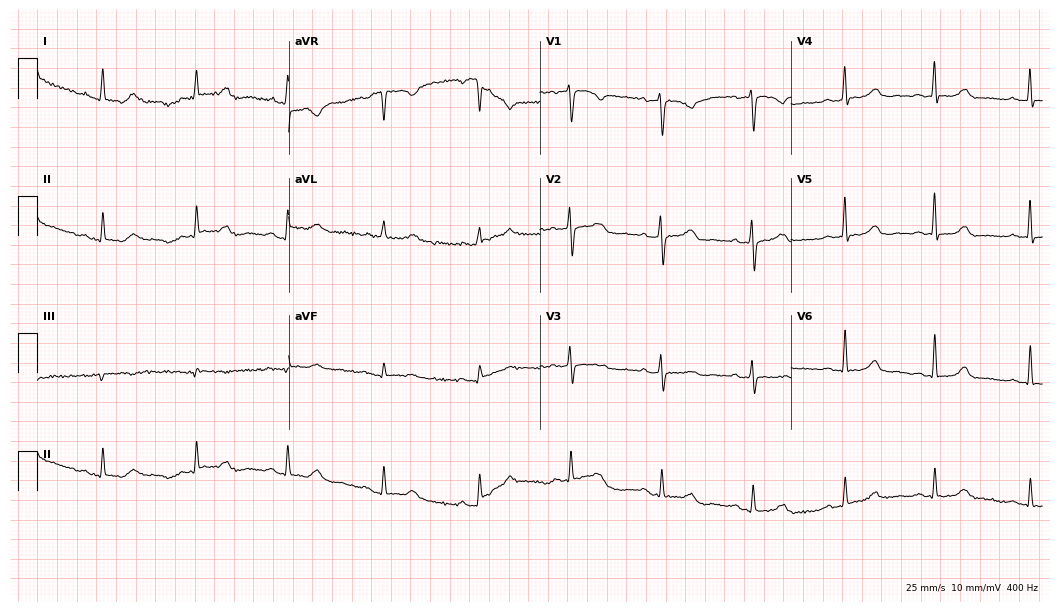
Standard 12-lead ECG recorded from a 47-year-old female. Read as a normal ECG.